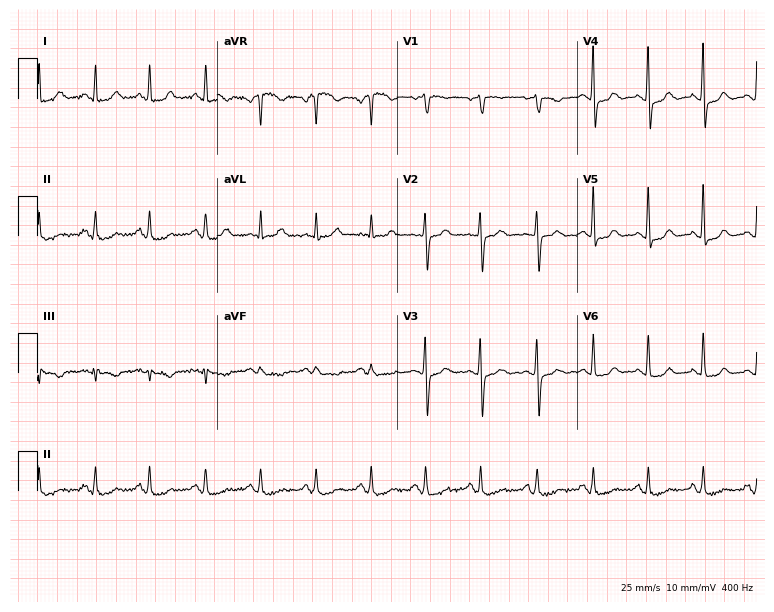
ECG (7.3-second recording at 400 Hz) — a woman, 64 years old. Screened for six findings — first-degree AV block, right bundle branch block (RBBB), left bundle branch block (LBBB), sinus bradycardia, atrial fibrillation (AF), sinus tachycardia — none is recorded.